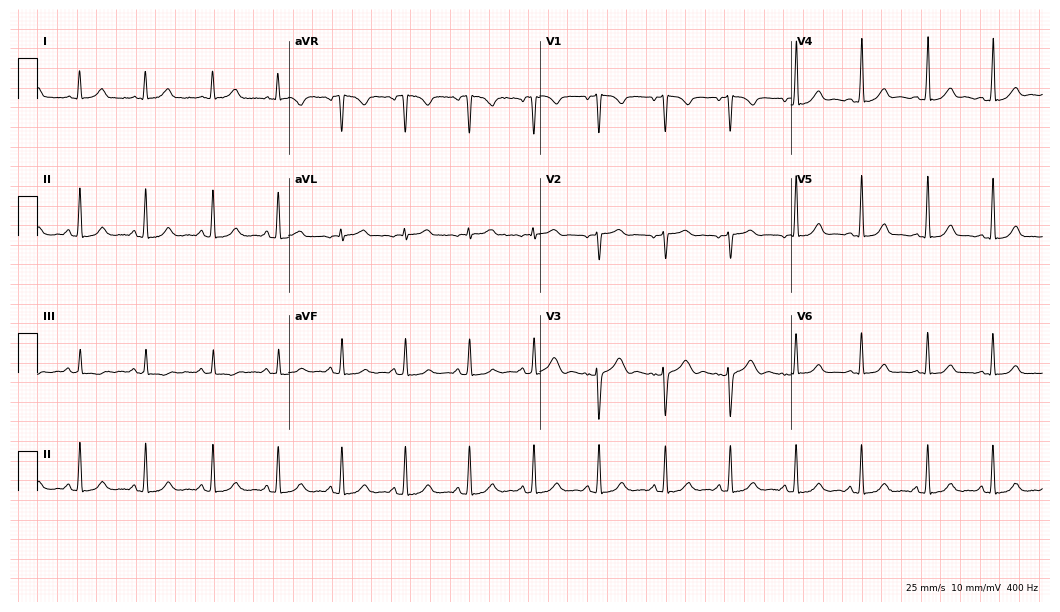
12-lead ECG from a woman, 30 years old. Recorded interpretation: within normal limits.